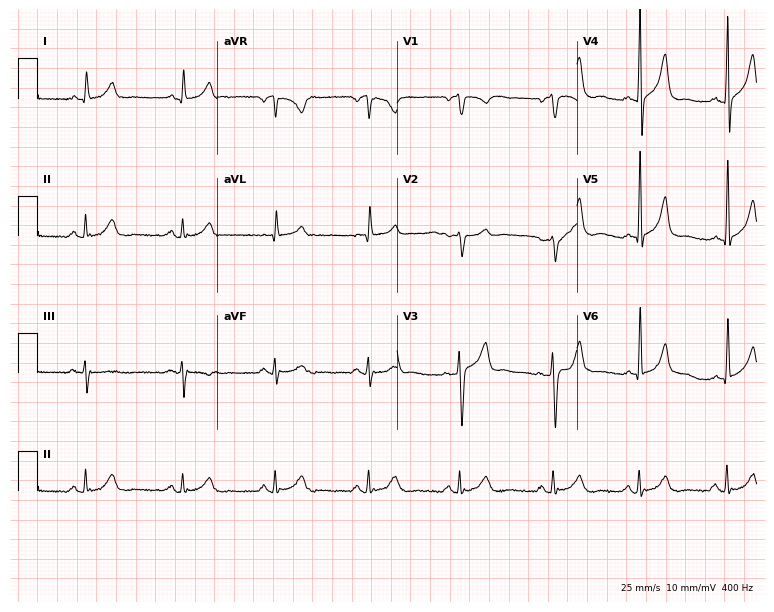
ECG — a man, 44 years old. Labelled as a normal ECG.